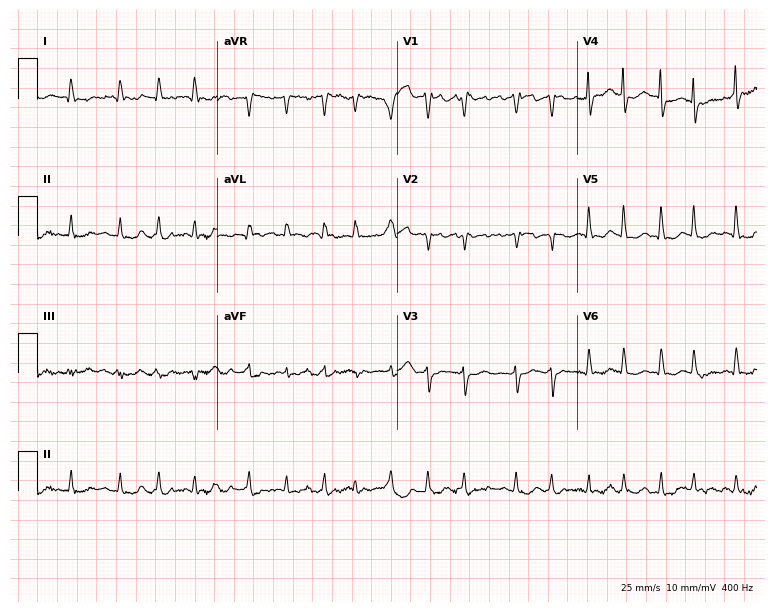
Standard 12-lead ECG recorded from a 68-year-old female patient. The tracing shows atrial fibrillation.